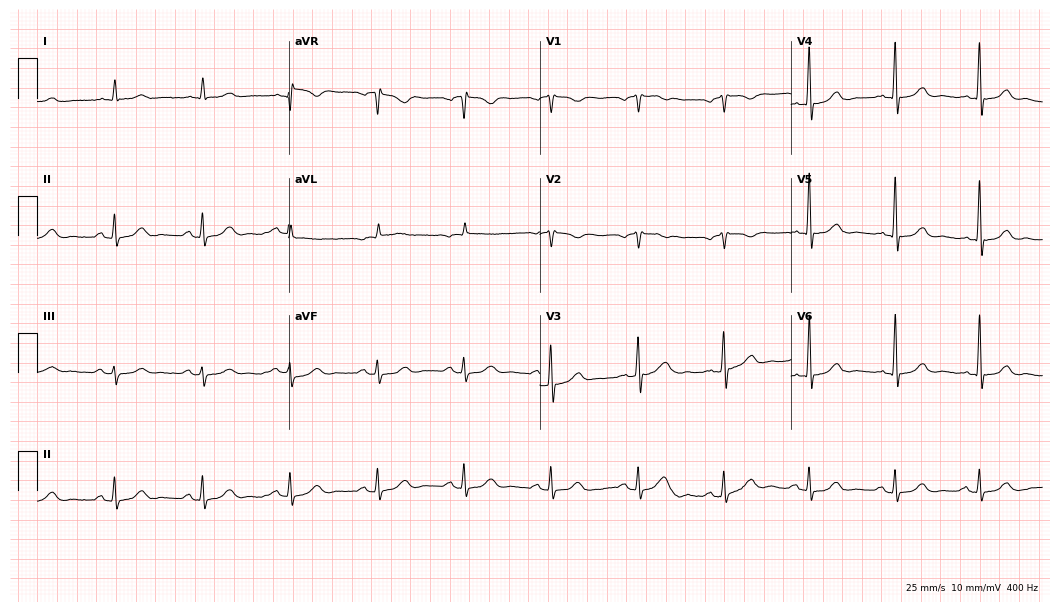
Electrocardiogram, a man, 84 years old. Of the six screened findings (first-degree AV block, right bundle branch block (RBBB), left bundle branch block (LBBB), sinus bradycardia, atrial fibrillation (AF), sinus tachycardia), none is recorded.